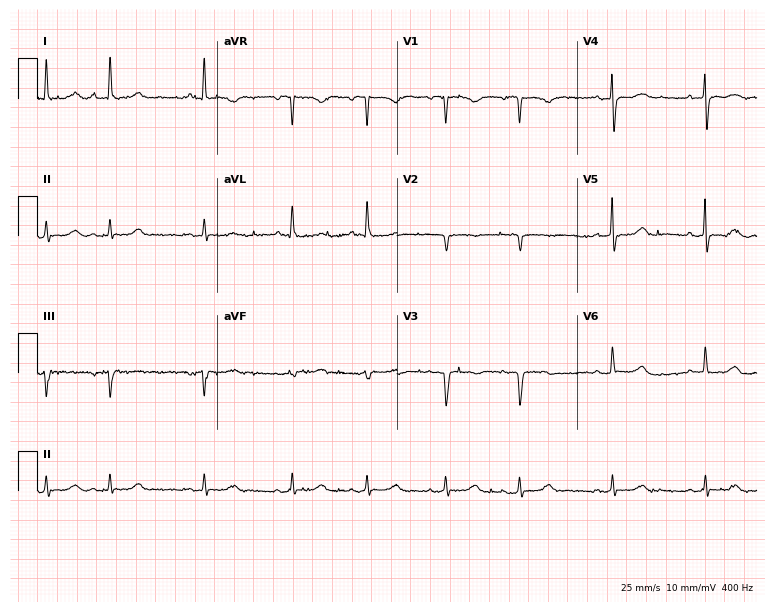
12-lead ECG (7.3-second recording at 400 Hz) from a 73-year-old woman. Screened for six findings — first-degree AV block, right bundle branch block, left bundle branch block, sinus bradycardia, atrial fibrillation, sinus tachycardia — none is recorded. Findings outside these six are not listed.